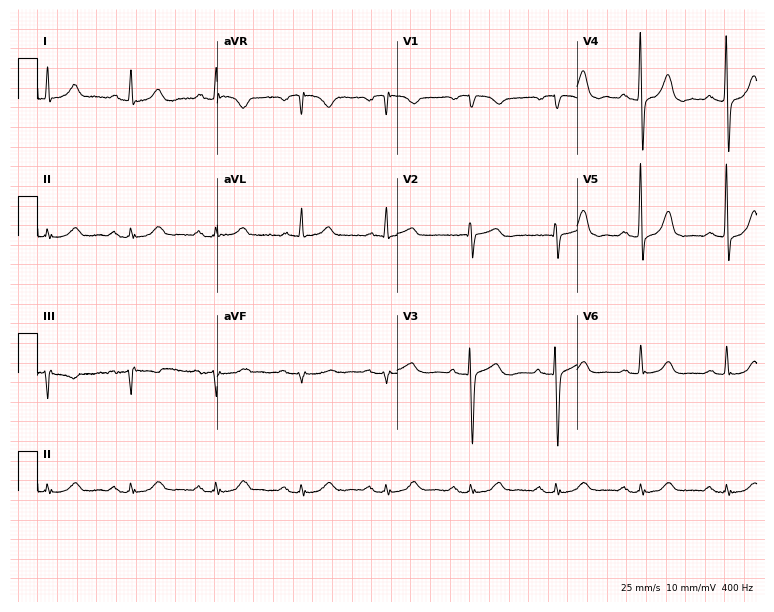
12-lead ECG from a female, 82 years old. No first-degree AV block, right bundle branch block (RBBB), left bundle branch block (LBBB), sinus bradycardia, atrial fibrillation (AF) or sinus tachycardia recorded for this tracing.